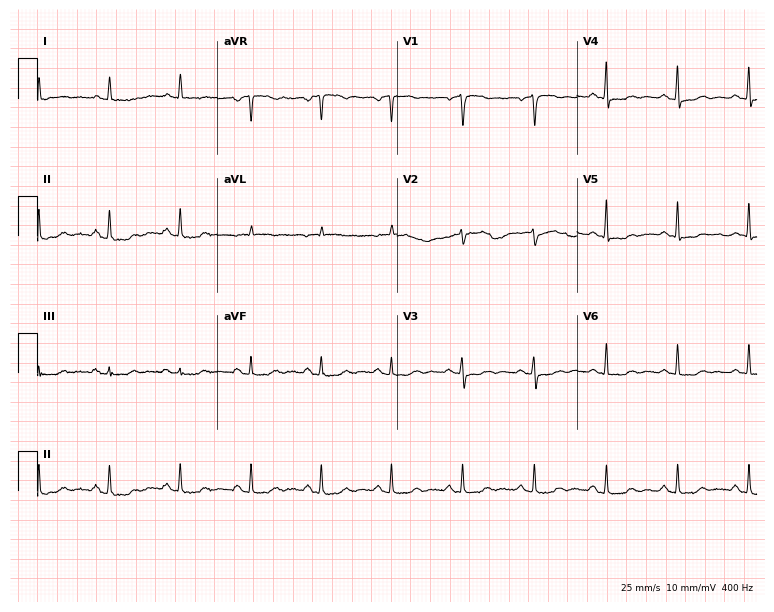
Standard 12-lead ECG recorded from a 74-year-old female patient. None of these six findings is recorded: first-degree AV block, right bundle branch block, left bundle branch block, sinus bradycardia, atrial fibrillation, sinus tachycardia.